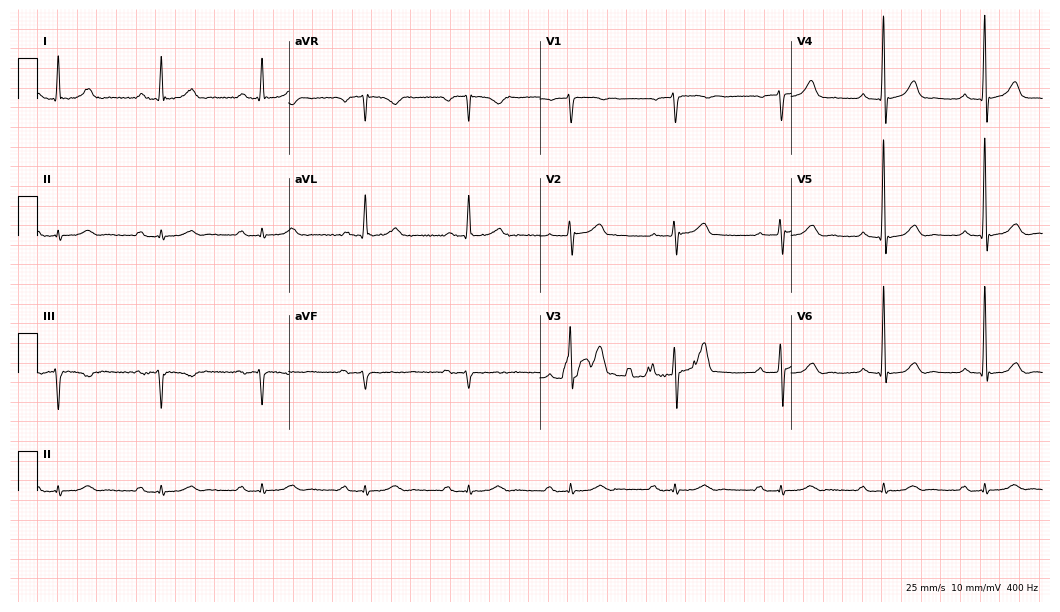
Standard 12-lead ECG recorded from a male, 59 years old (10.2-second recording at 400 Hz). The tracing shows first-degree AV block.